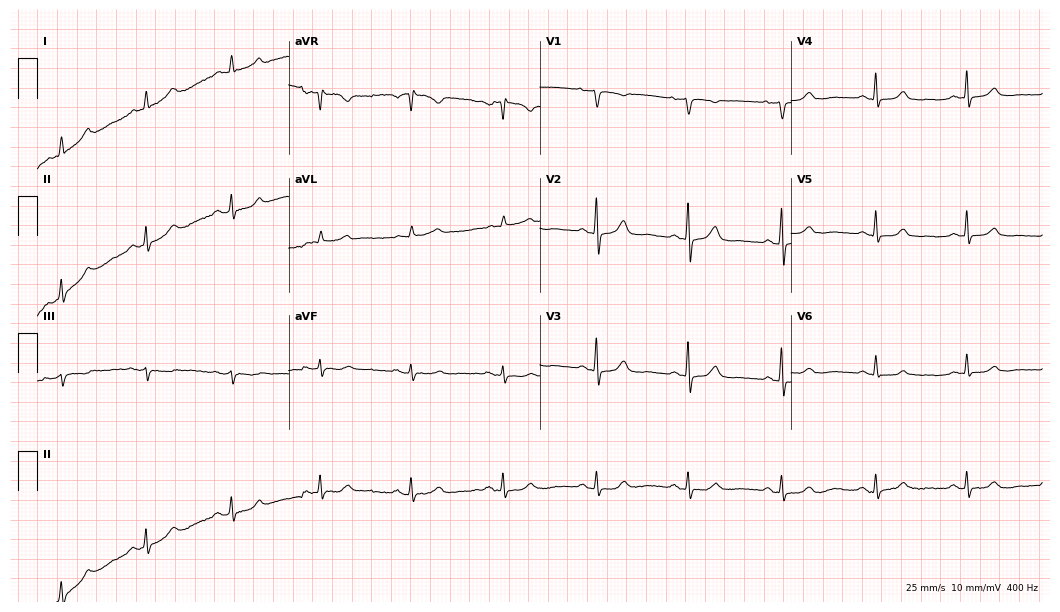
Electrocardiogram (10.2-second recording at 400 Hz), a 48-year-old female. Of the six screened findings (first-degree AV block, right bundle branch block (RBBB), left bundle branch block (LBBB), sinus bradycardia, atrial fibrillation (AF), sinus tachycardia), none is recorded.